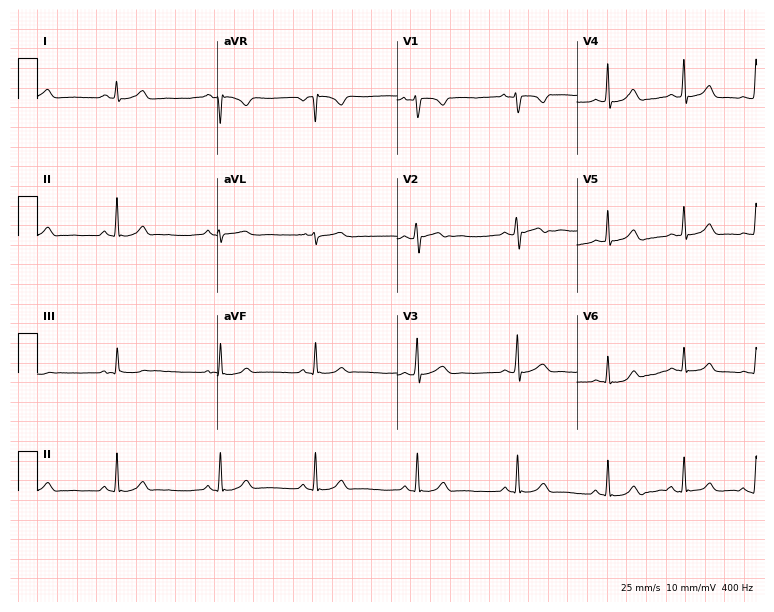
12-lead ECG from a 19-year-old female patient (7.3-second recording at 400 Hz). No first-degree AV block, right bundle branch block (RBBB), left bundle branch block (LBBB), sinus bradycardia, atrial fibrillation (AF) or sinus tachycardia recorded for this tracing.